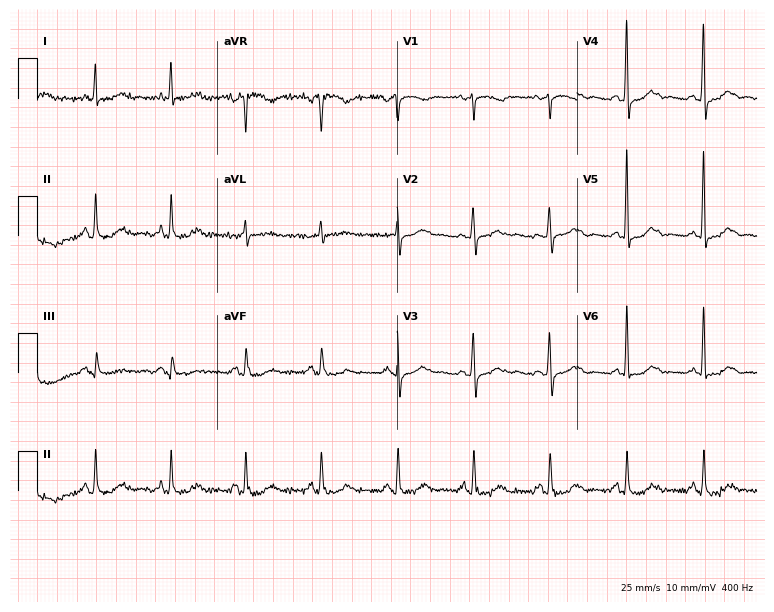
Electrocardiogram (7.3-second recording at 400 Hz), a female patient, 72 years old. Of the six screened findings (first-degree AV block, right bundle branch block, left bundle branch block, sinus bradycardia, atrial fibrillation, sinus tachycardia), none is recorded.